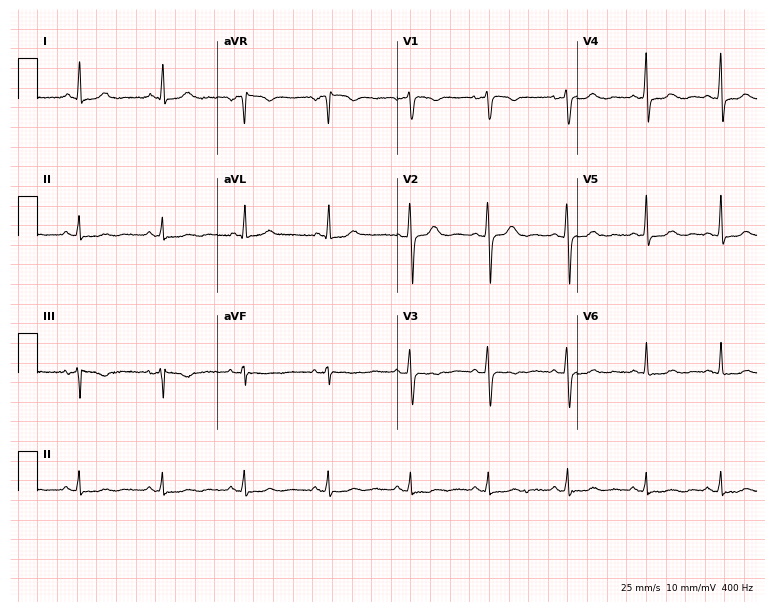
ECG — a female patient, 44 years old. Screened for six findings — first-degree AV block, right bundle branch block (RBBB), left bundle branch block (LBBB), sinus bradycardia, atrial fibrillation (AF), sinus tachycardia — none is recorded.